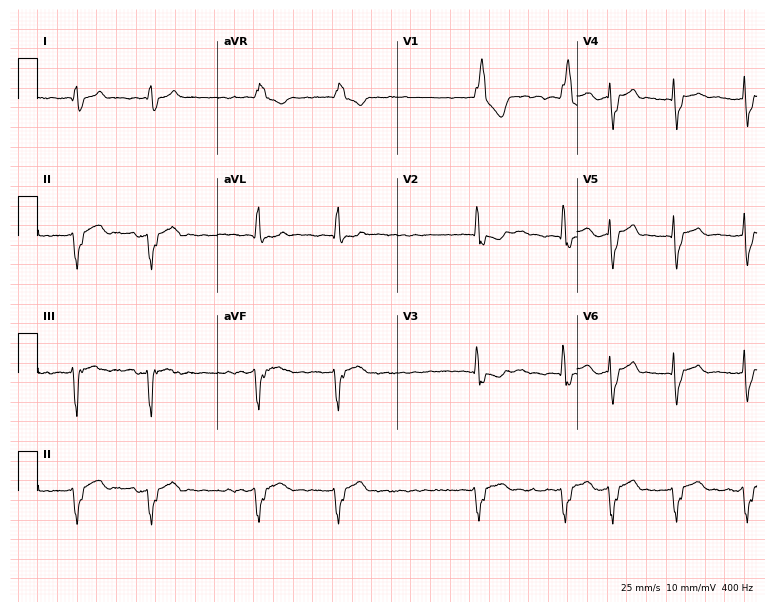
Standard 12-lead ECG recorded from a man, 61 years old (7.3-second recording at 400 Hz). The tracing shows right bundle branch block, atrial fibrillation.